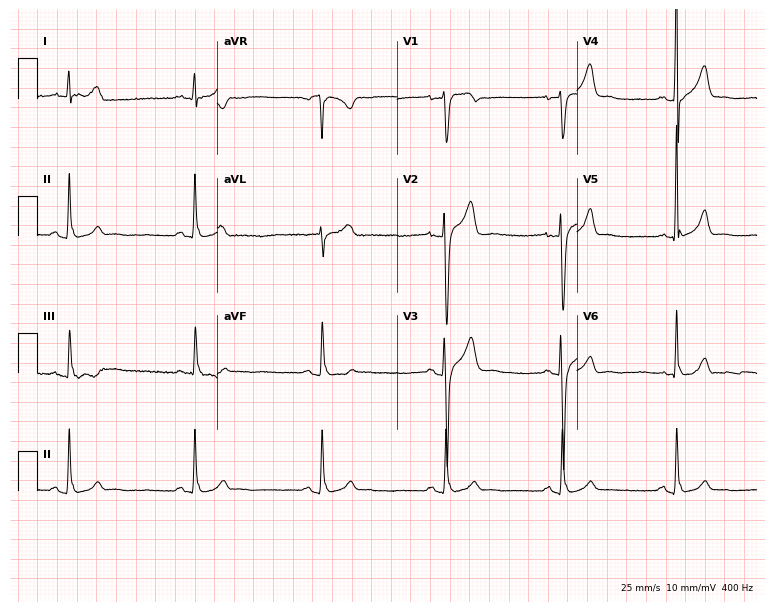
Resting 12-lead electrocardiogram. Patient: a 37-year-old man. None of these six findings is recorded: first-degree AV block, right bundle branch block, left bundle branch block, sinus bradycardia, atrial fibrillation, sinus tachycardia.